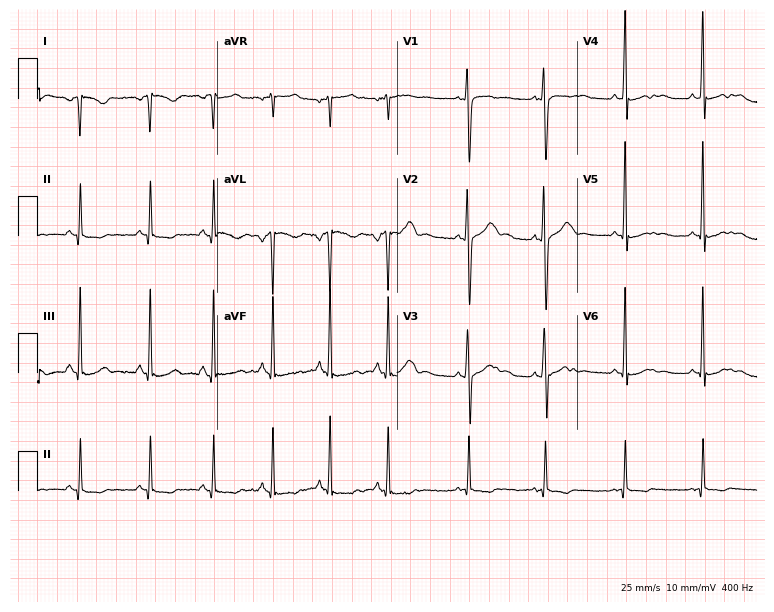
Standard 12-lead ECG recorded from a woman, 18 years old (7.3-second recording at 400 Hz). None of these six findings is recorded: first-degree AV block, right bundle branch block (RBBB), left bundle branch block (LBBB), sinus bradycardia, atrial fibrillation (AF), sinus tachycardia.